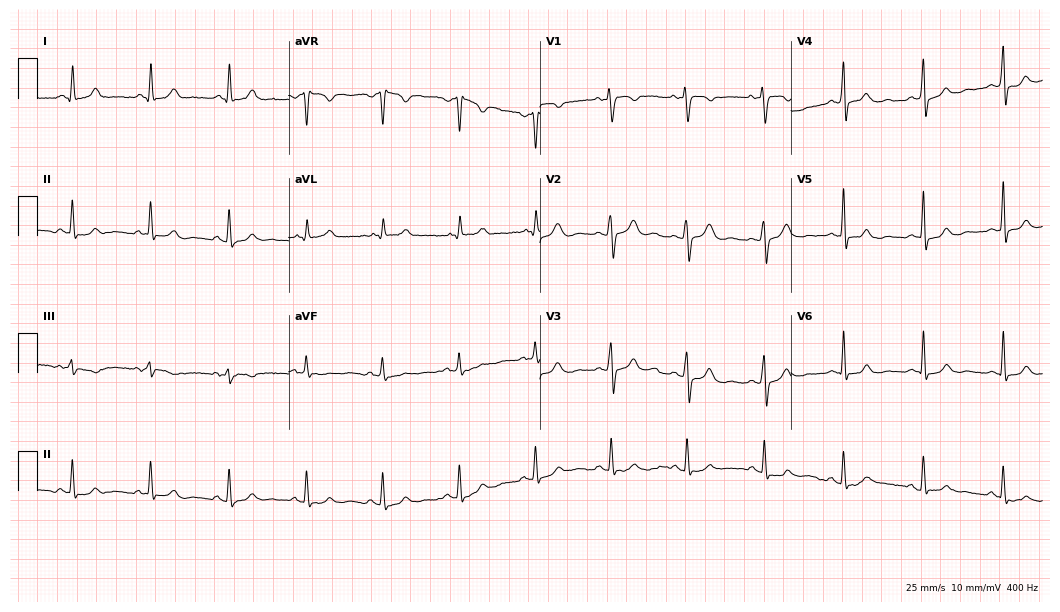
Standard 12-lead ECG recorded from a woman, 51 years old (10.2-second recording at 400 Hz). Read as a normal ECG.